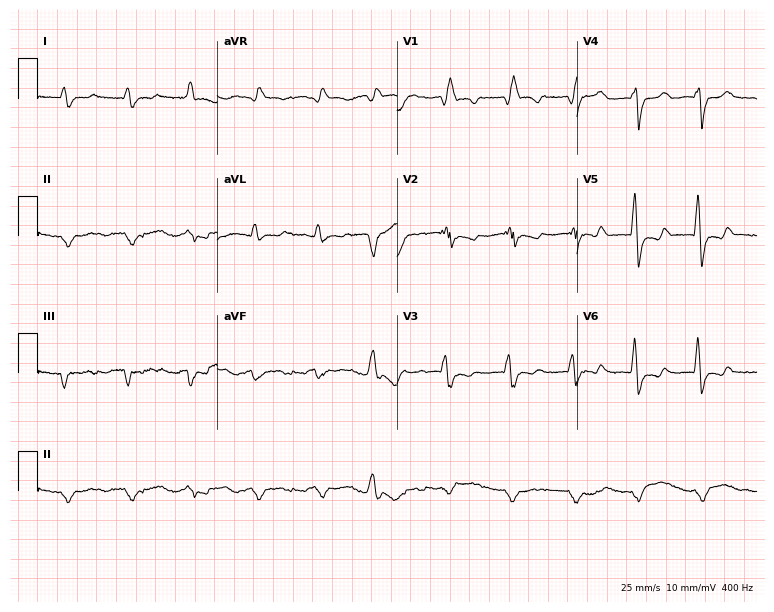
12-lead ECG (7.3-second recording at 400 Hz) from a female, 84 years old. Findings include right bundle branch block (RBBB).